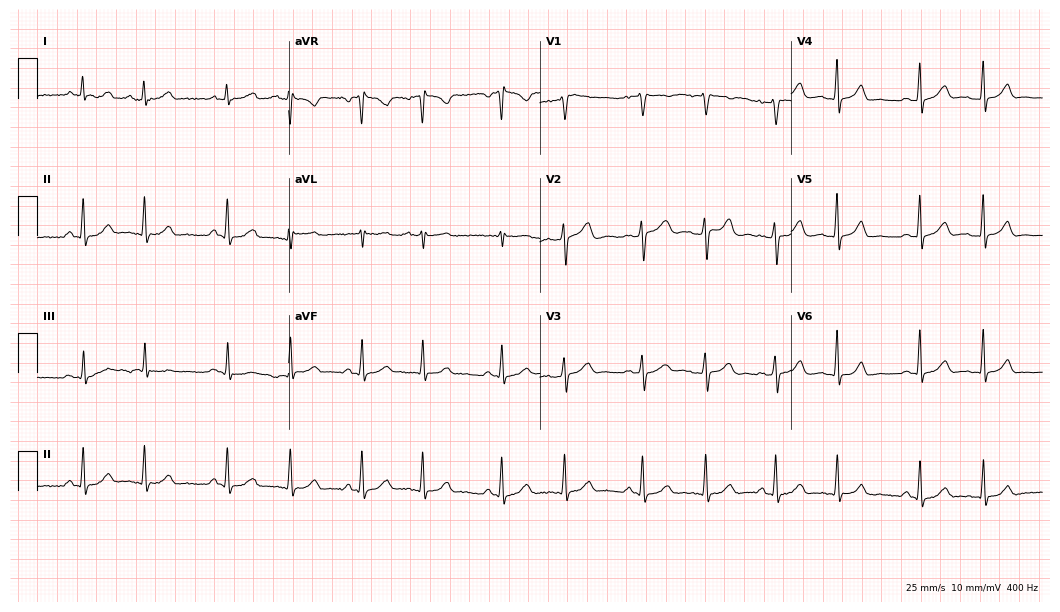
12-lead ECG from a woman, 47 years old. No first-degree AV block, right bundle branch block, left bundle branch block, sinus bradycardia, atrial fibrillation or sinus tachycardia recorded for this tracing.